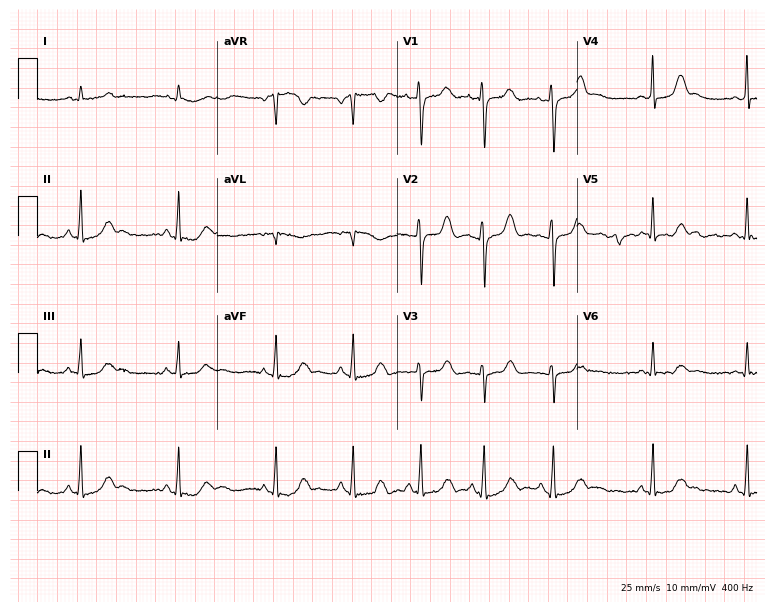
12-lead ECG (7.3-second recording at 400 Hz) from a woman, 19 years old. Labelled as a normal ECG.